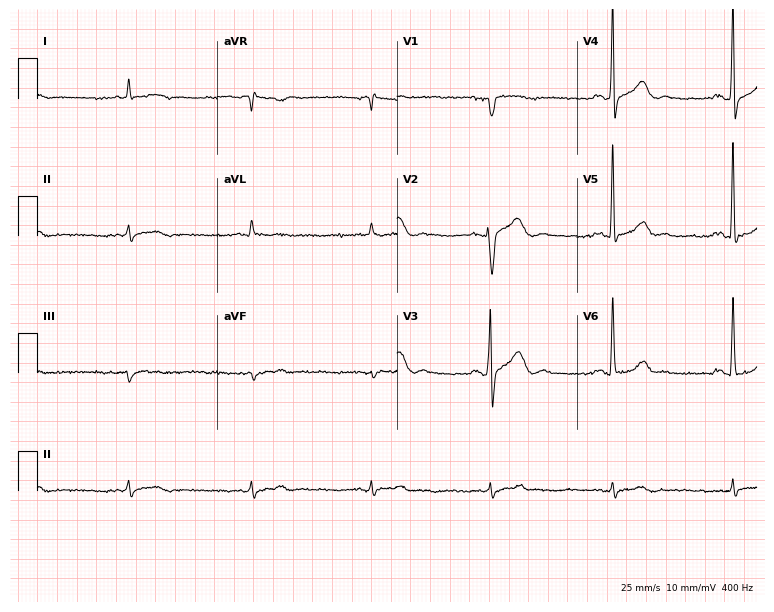
Electrocardiogram (7.3-second recording at 400 Hz), a male, 67 years old. Interpretation includes sinus bradycardia (a sinus rate of 50 beats per minute or less).